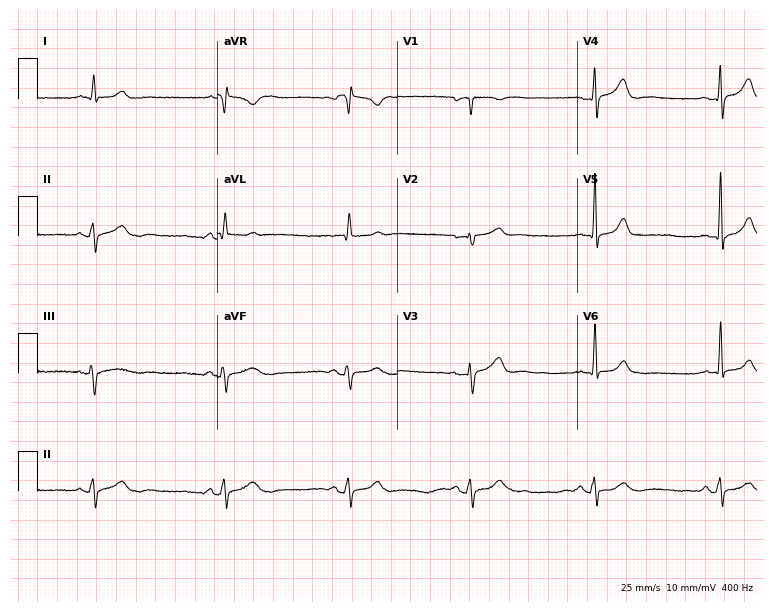
12-lead ECG (7.3-second recording at 400 Hz) from a male patient, 59 years old. Findings include sinus bradycardia (a sinus rate of 50 beats per minute or less).